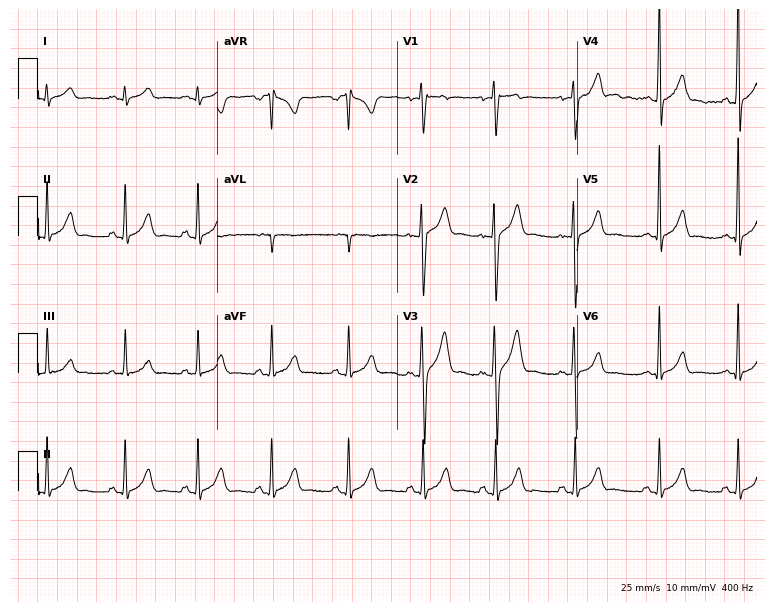
Electrocardiogram (7.3-second recording at 400 Hz), a man, 19 years old. Of the six screened findings (first-degree AV block, right bundle branch block (RBBB), left bundle branch block (LBBB), sinus bradycardia, atrial fibrillation (AF), sinus tachycardia), none is recorded. Other findings, if any, are not listed.